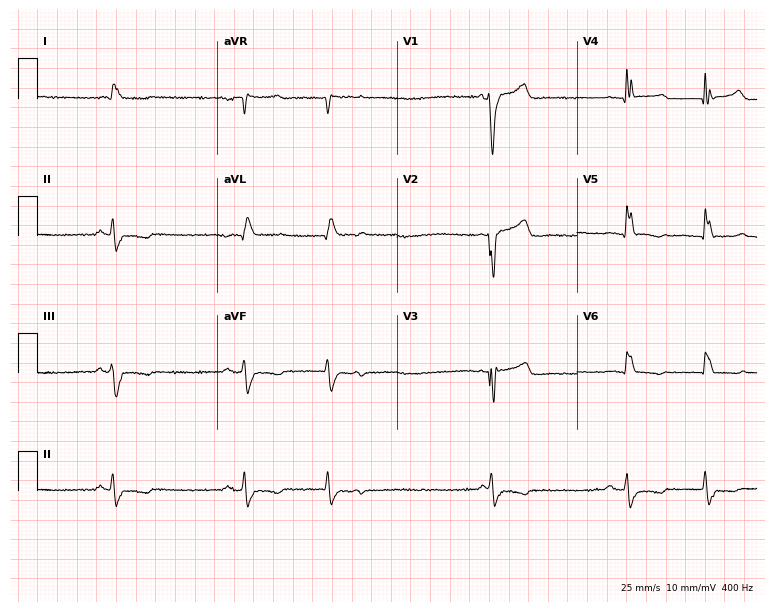
ECG (7.3-second recording at 400 Hz) — a male patient, 84 years old. Findings include left bundle branch block (LBBB).